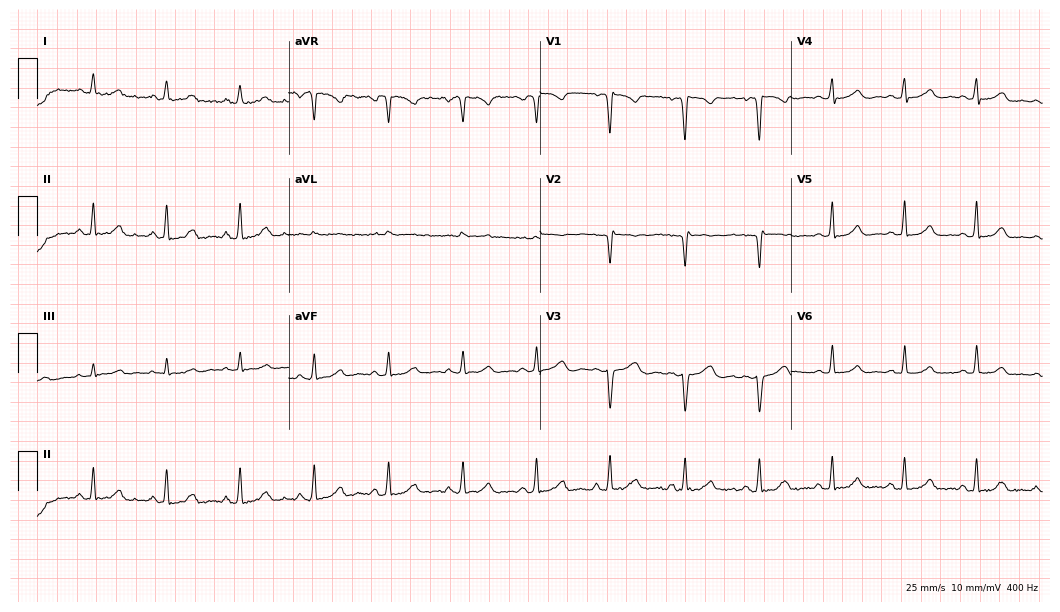
Standard 12-lead ECG recorded from a female, 34 years old (10.2-second recording at 400 Hz). None of these six findings is recorded: first-degree AV block, right bundle branch block (RBBB), left bundle branch block (LBBB), sinus bradycardia, atrial fibrillation (AF), sinus tachycardia. Other findings, if any, are not listed.